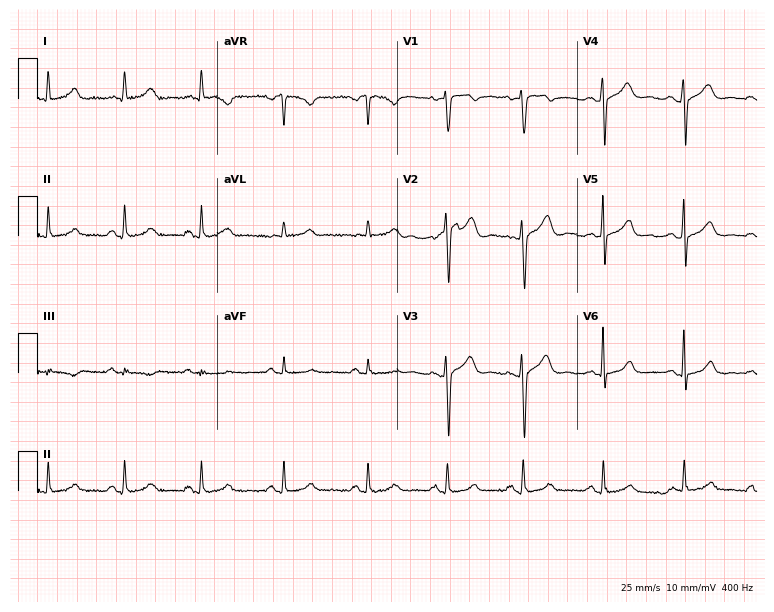
Electrocardiogram (7.3-second recording at 400 Hz), a female, 31 years old. Overall reading on record: normal ECG.